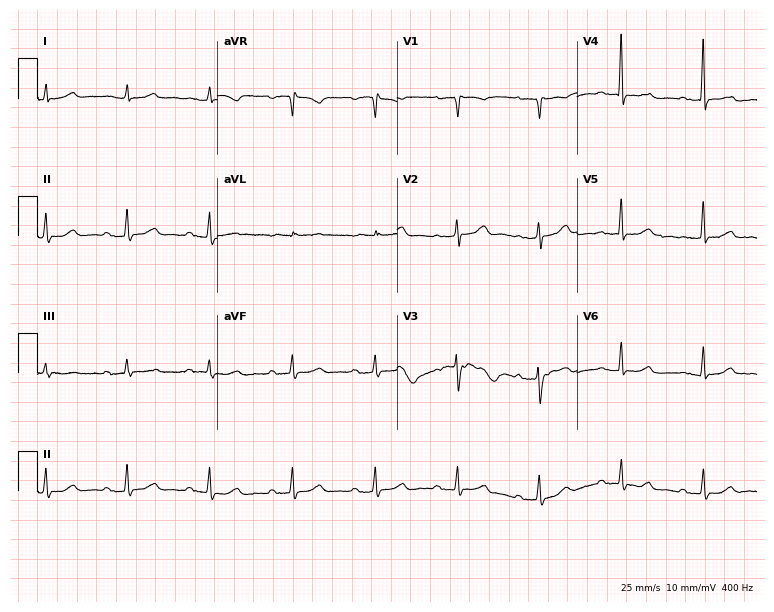
12-lead ECG from a female, 81 years old. Findings include first-degree AV block.